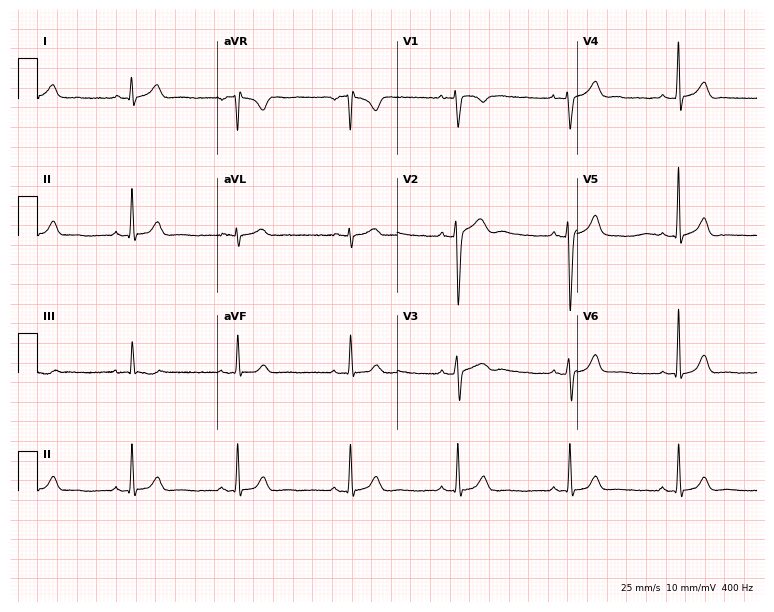
12-lead ECG from a male patient, 21 years old. Labelled as a normal ECG.